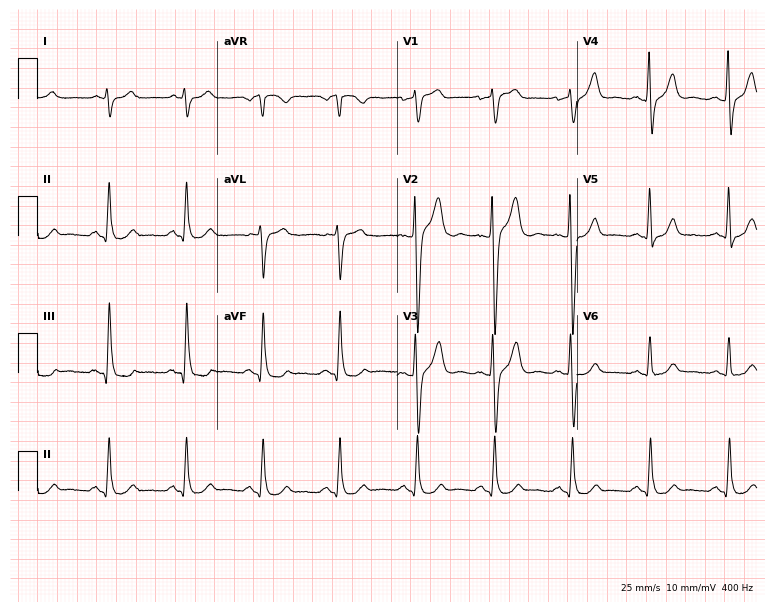
ECG (7.3-second recording at 400 Hz) — a male patient, 67 years old. Screened for six findings — first-degree AV block, right bundle branch block, left bundle branch block, sinus bradycardia, atrial fibrillation, sinus tachycardia — none is recorded.